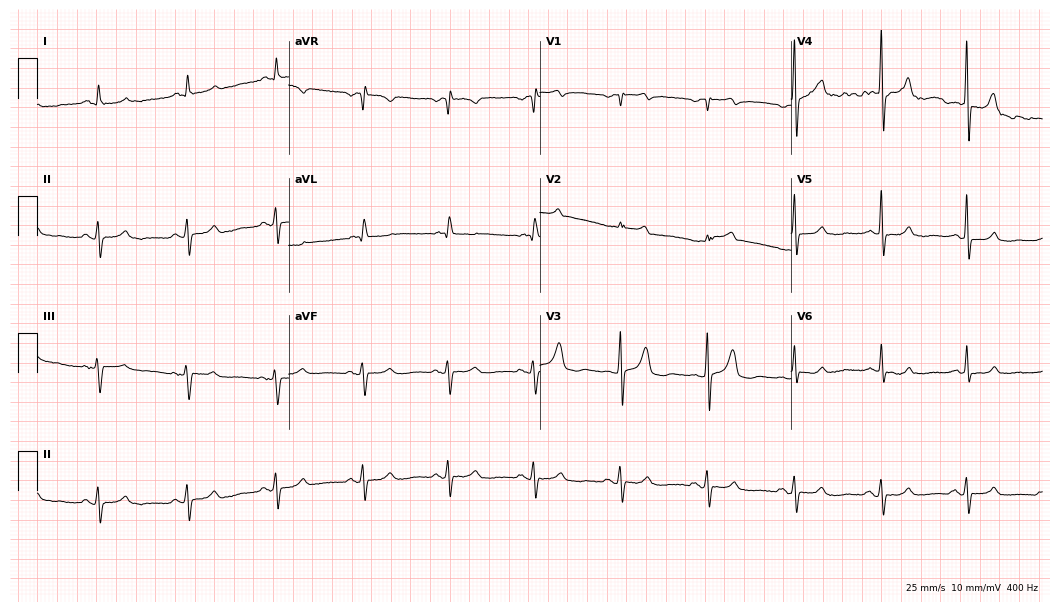
Standard 12-lead ECG recorded from a 70-year-old man (10.2-second recording at 400 Hz). None of these six findings is recorded: first-degree AV block, right bundle branch block (RBBB), left bundle branch block (LBBB), sinus bradycardia, atrial fibrillation (AF), sinus tachycardia. Findings outside these six are not listed.